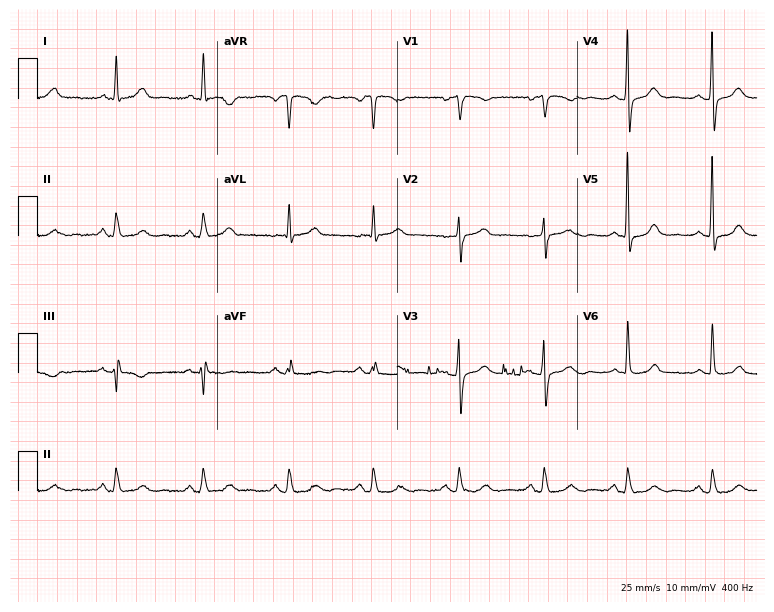
ECG — a 77-year-old woman. Screened for six findings — first-degree AV block, right bundle branch block, left bundle branch block, sinus bradycardia, atrial fibrillation, sinus tachycardia — none is recorded. Only these six findings were labelled.